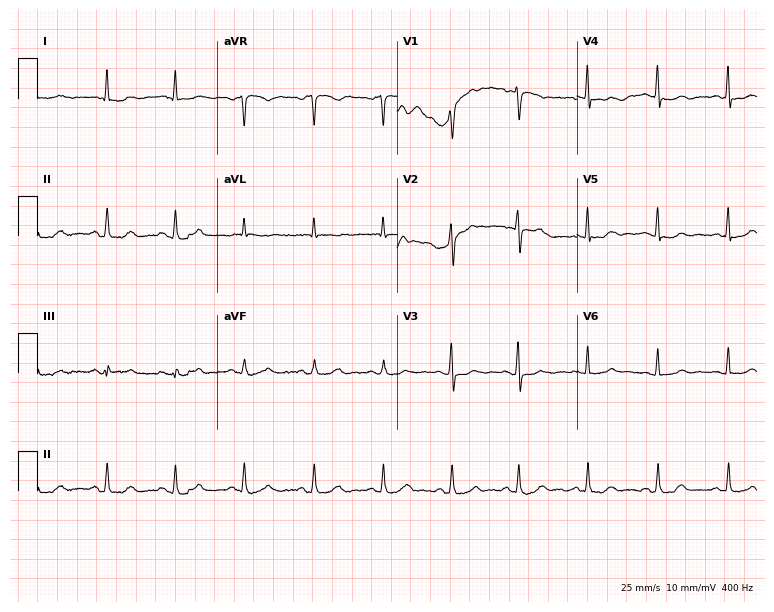
12-lead ECG from a female, 68 years old (7.3-second recording at 400 Hz). No first-degree AV block, right bundle branch block, left bundle branch block, sinus bradycardia, atrial fibrillation or sinus tachycardia recorded for this tracing. Only these six findings were labelled.